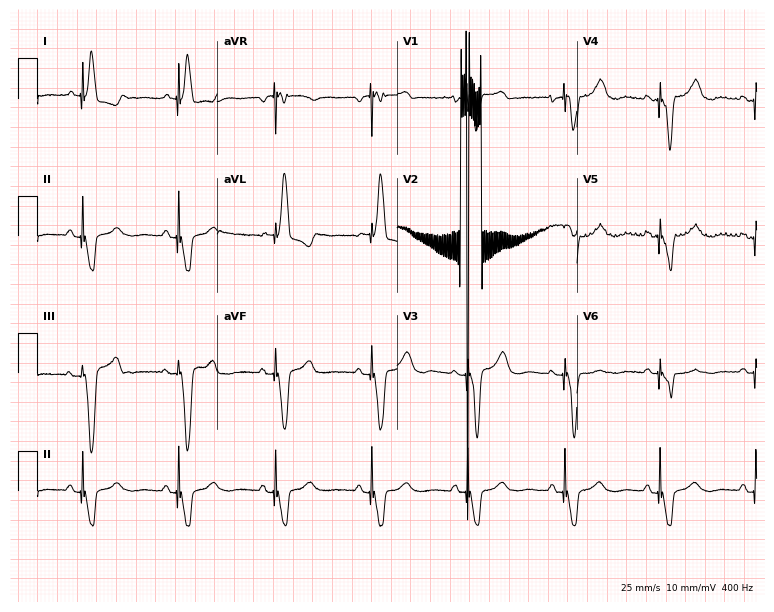
ECG (7.3-second recording at 400 Hz) — a woman, 74 years old. Screened for six findings — first-degree AV block, right bundle branch block (RBBB), left bundle branch block (LBBB), sinus bradycardia, atrial fibrillation (AF), sinus tachycardia — none is recorded. Findings outside these six are not listed.